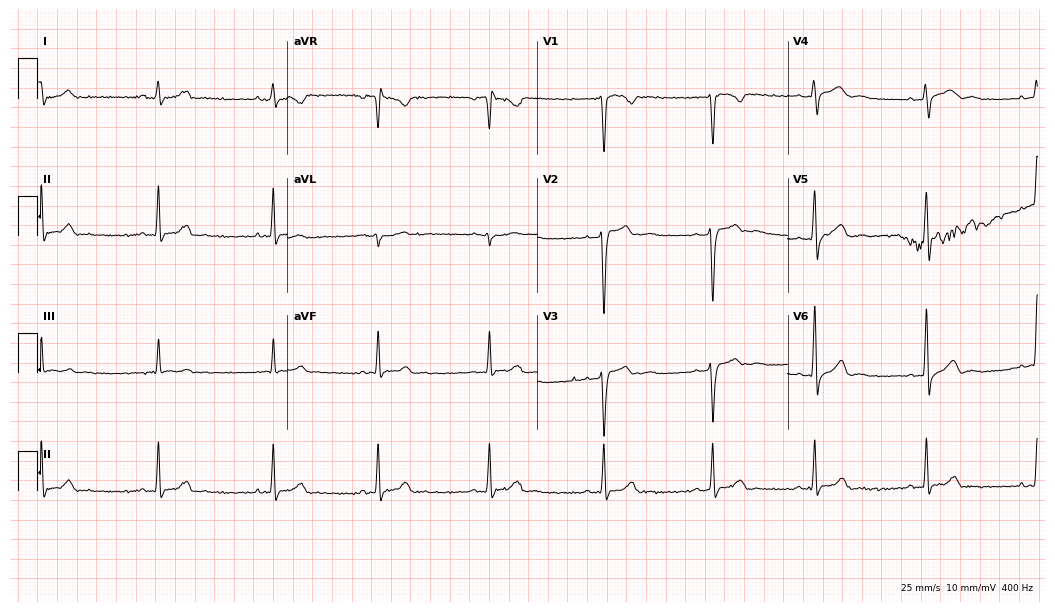
12-lead ECG (10.2-second recording at 400 Hz) from a male patient, 28 years old. Labelled as a normal ECG.